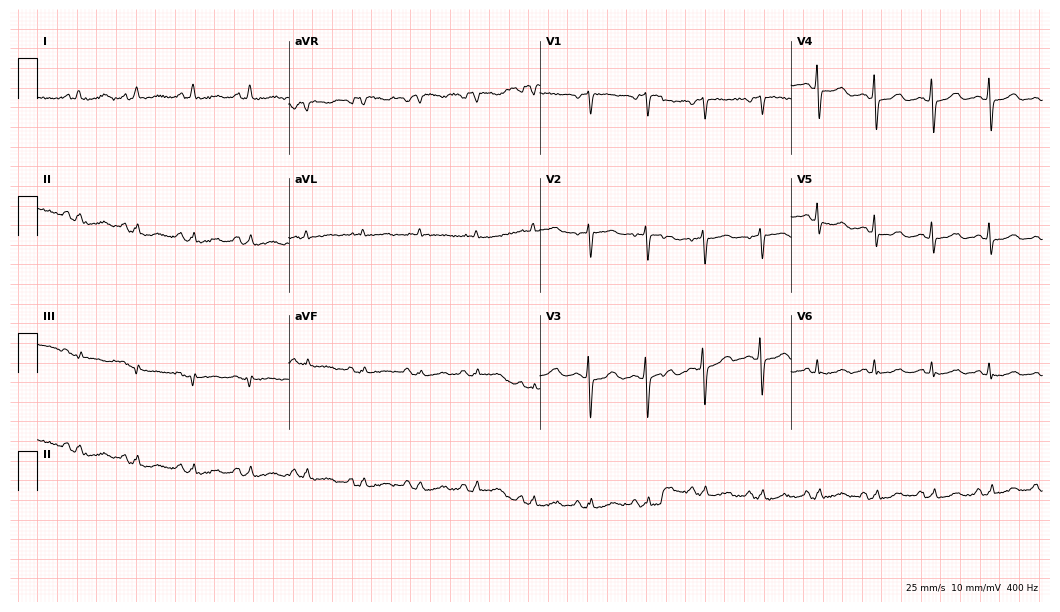
ECG — a female, 80 years old. Findings include sinus tachycardia (a sinus rate of 100 beats per minute or more).